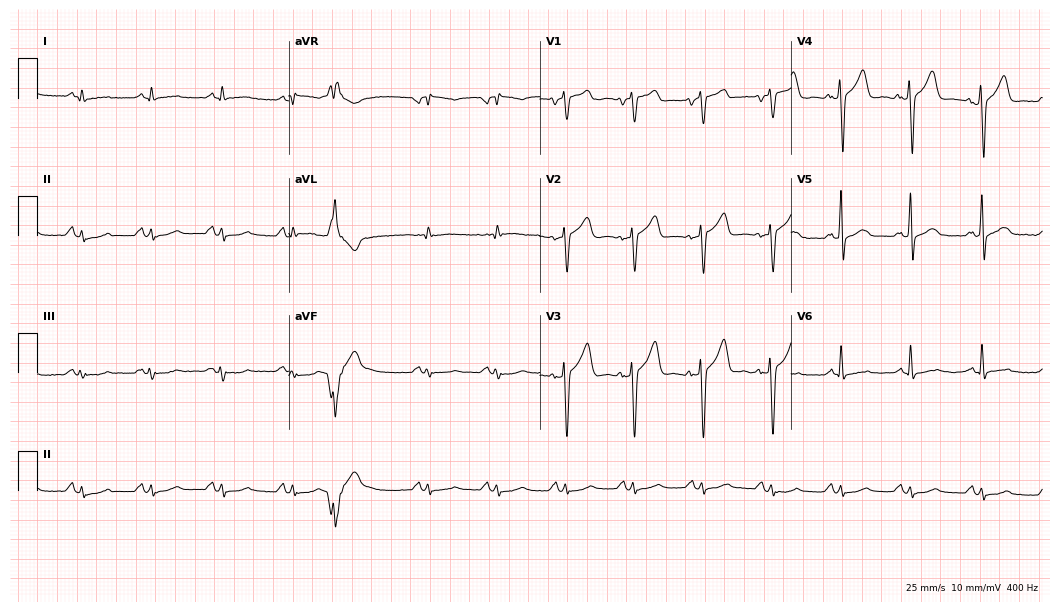
12-lead ECG from a male patient, 76 years old (10.2-second recording at 400 Hz). No first-degree AV block, right bundle branch block (RBBB), left bundle branch block (LBBB), sinus bradycardia, atrial fibrillation (AF) or sinus tachycardia recorded for this tracing. Only these six findings were labelled.